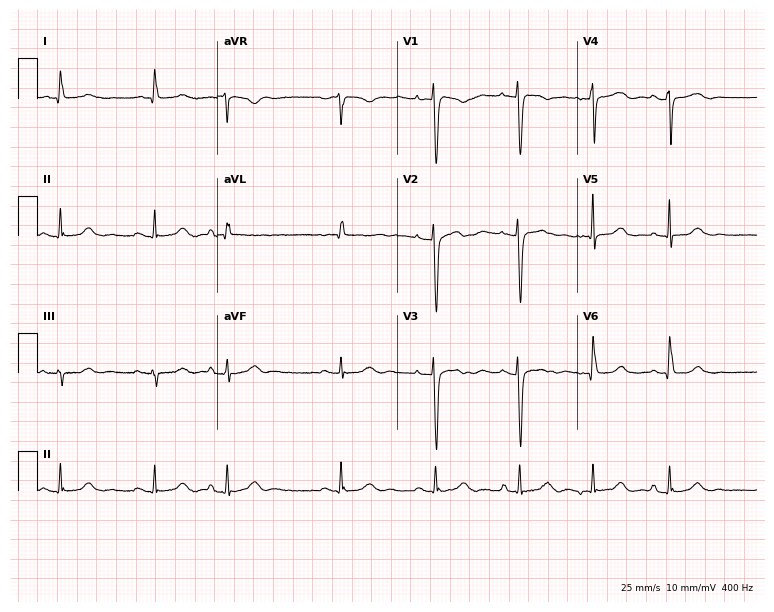
12-lead ECG from a female patient, 61 years old. No first-degree AV block, right bundle branch block (RBBB), left bundle branch block (LBBB), sinus bradycardia, atrial fibrillation (AF) or sinus tachycardia recorded for this tracing.